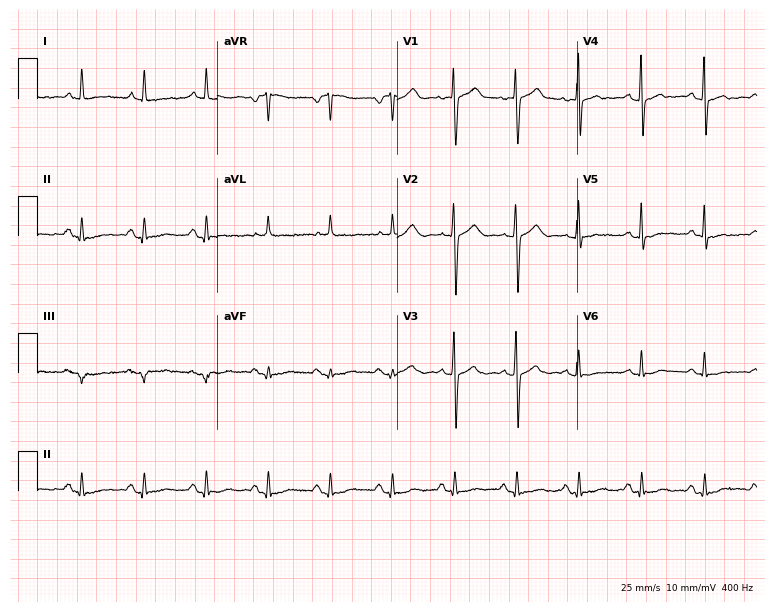
Electrocardiogram (7.3-second recording at 400 Hz), a 73-year-old female patient. Of the six screened findings (first-degree AV block, right bundle branch block (RBBB), left bundle branch block (LBBB), sinus bradycardia, atrial fibrillation (AF), sinus tachycardia), none is recorded.